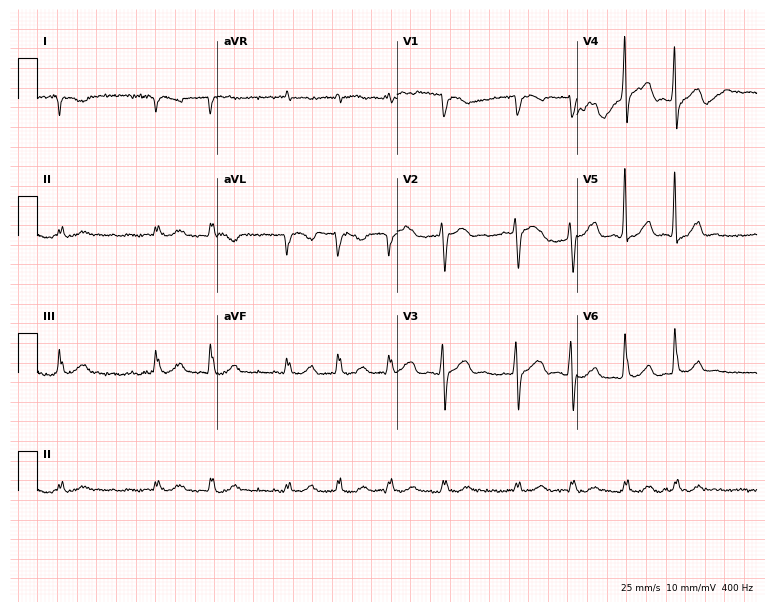
12-lead ECG from a male patient, 77 years old. Screened for six findings — first-degree AV block, right bundle branch block, left bundle branch block, sinus bradycardia, atrial fibrillation, sinus tachycardia — none is recorded.